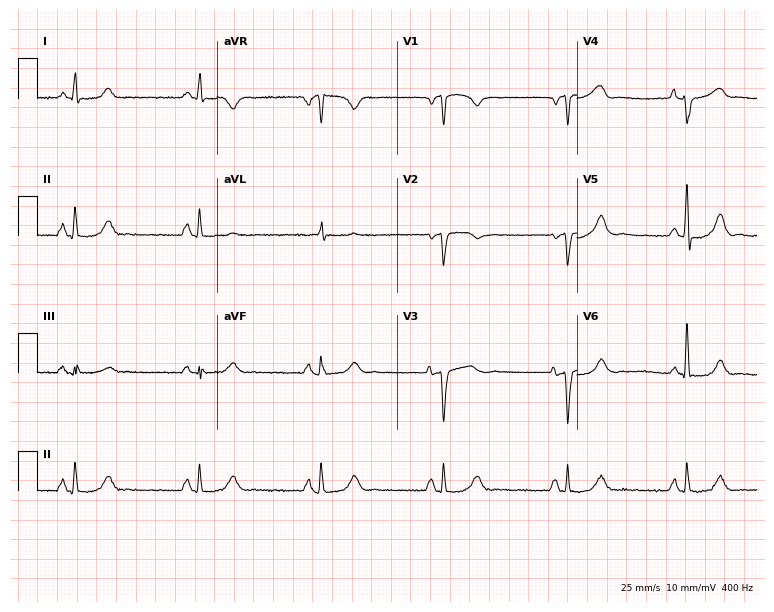
12-lead ECG from a 53-year-old woman. Findings include sinus bradycardia (a sinus rate of 50 beats per minute or less).